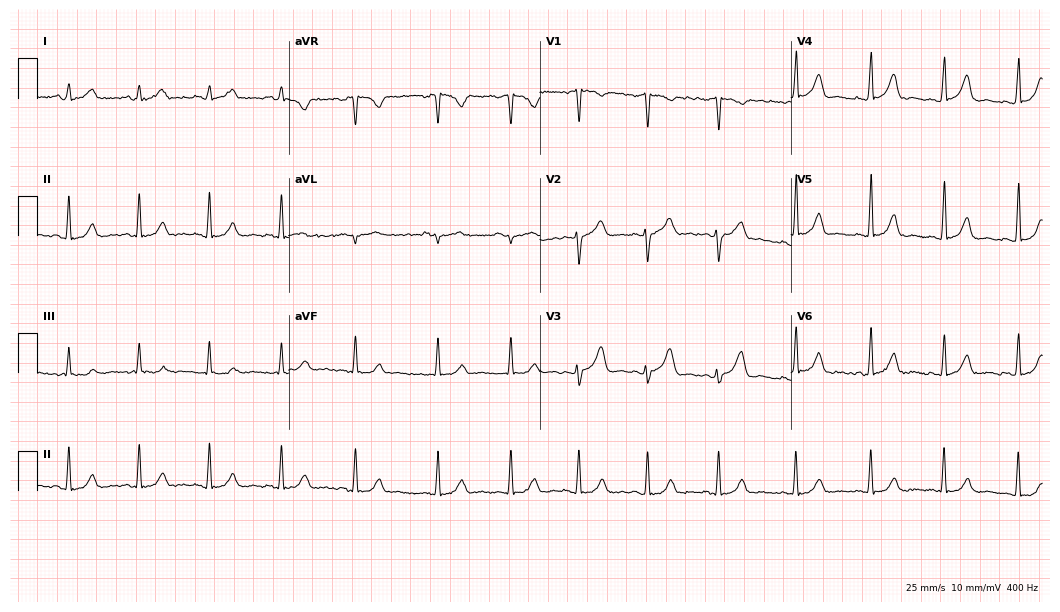
Resting 12-lead electrocardiogram (10.2-second recording at 400 Hz). Patient: a 22-year-old woman. Read as a normal ECG.